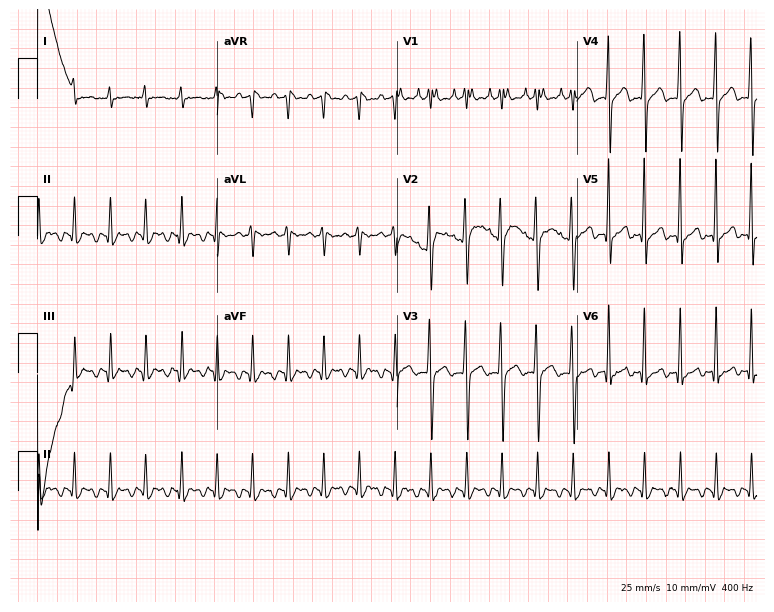
ECG (7.3-second recording at 400 Hz) — a 44-year-old man. Screened for six findings — first-degree AV block, right bundle branch block (RBBB), left bundle branch block (LBBB), sinus bradycardia, atrial fibrillation (AF), sinus tachycardia — none is recorded.